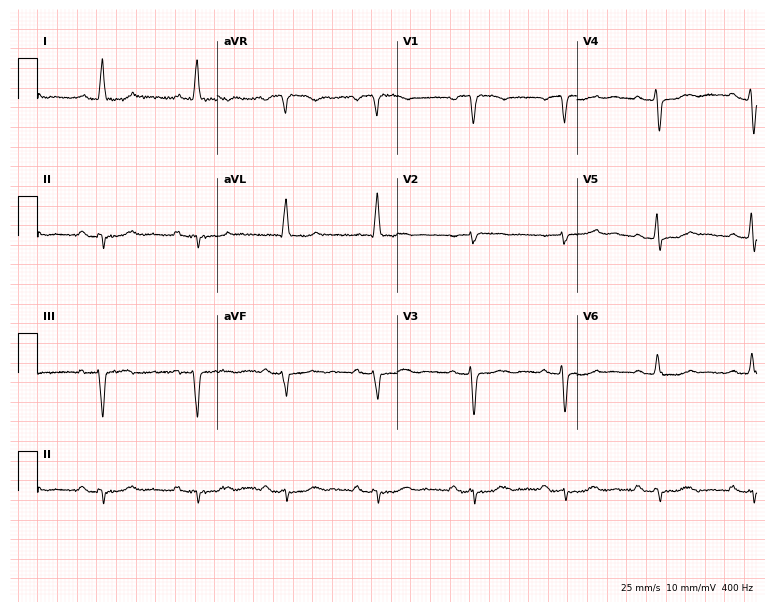
Electrocardiogram, a 73-year-old female. Of the six screened findings (first-degree AV block, right bundle branch block, left bundle branch block, sinus bradycardia, atrial fibrillation, sinus tachycardia), none is recorded. Other findings, if any, are not listed.